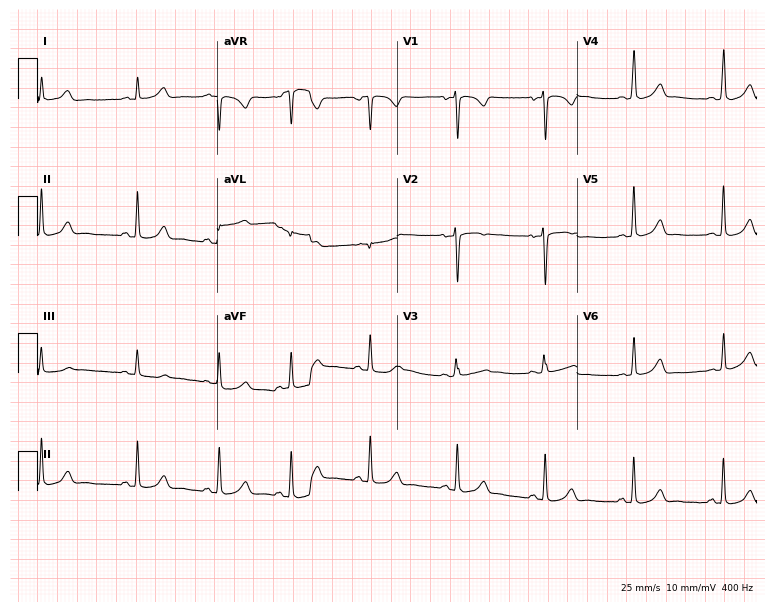
Standard 12-lead ECG recorded from a female patient, 27 years old (7.3-second recording at 400 Hz). None of these six findings is recorded: first-degree AV block, right bundle branch block, left bundle branch block, sinus bradycardia, atrial fibrillation, sinus tachycardia. Findings outside these six are not listed.